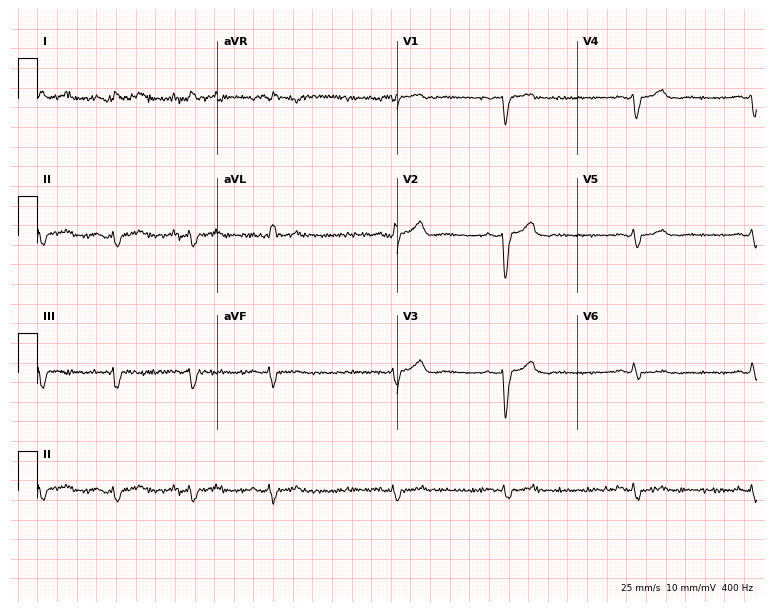
ECG (7.3-second recording at 400 Hz) — a 55-year-old female patient. Screened for six findings — first-degree AV block, right bundle branch block, left bundle branch block, sinus bradycardia, atrial fibrillation, sinus tachycardia — none is recorded.